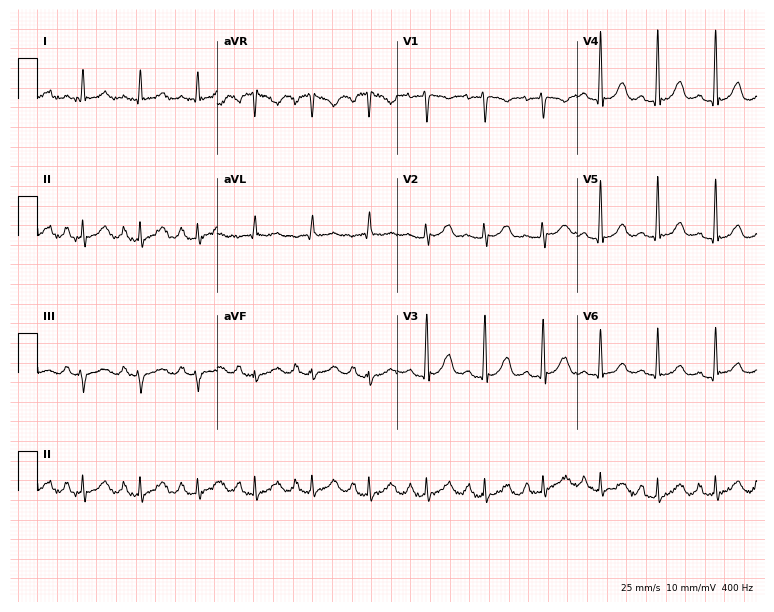
12-lead ECG from a 58-year-old female patient. Findings include sinus tachycardia (a sinus rate of 100 beats per minute or more).